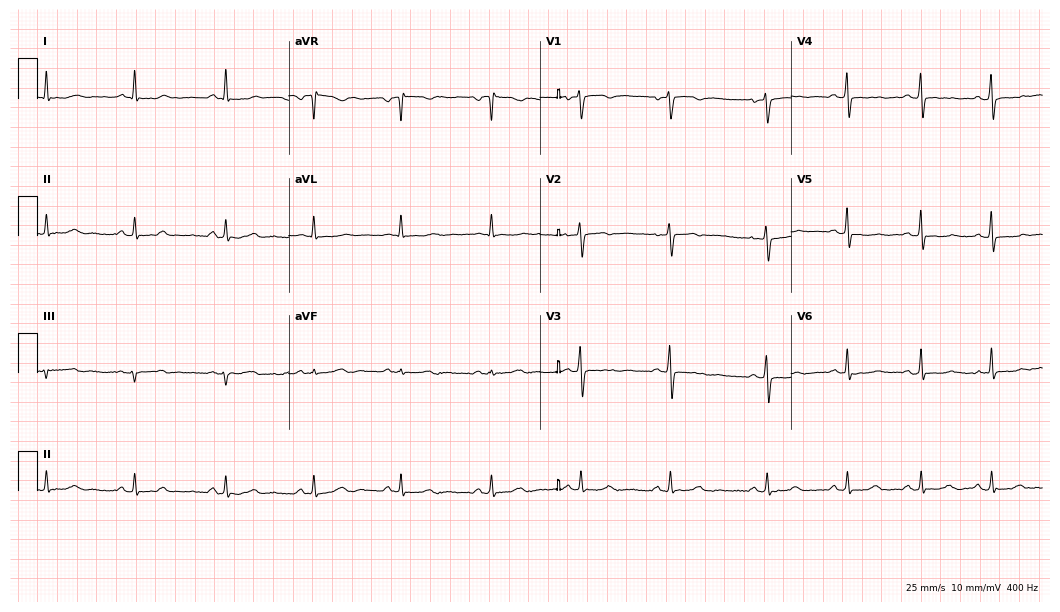
ECG — a female patient, 38 years old. Screened for six findings — first-degree AV block, right bundle branch block (RBBB), left bundle branch block (LBBB), sinus bradycardia, atrial fibrillation (AF), sinus tachycardia — none is recorded. Findings outside these six are not listed.